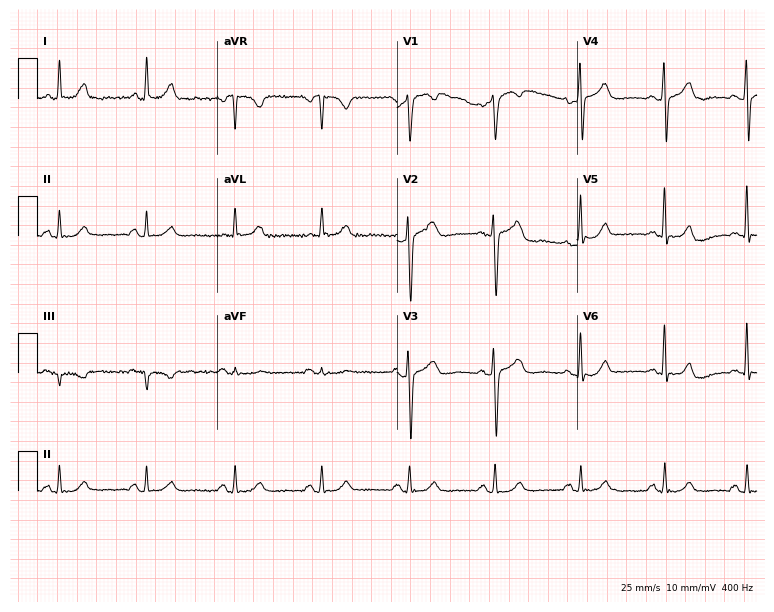
ECG — a 56-year-old male patient. Labelled as a normal ECG.